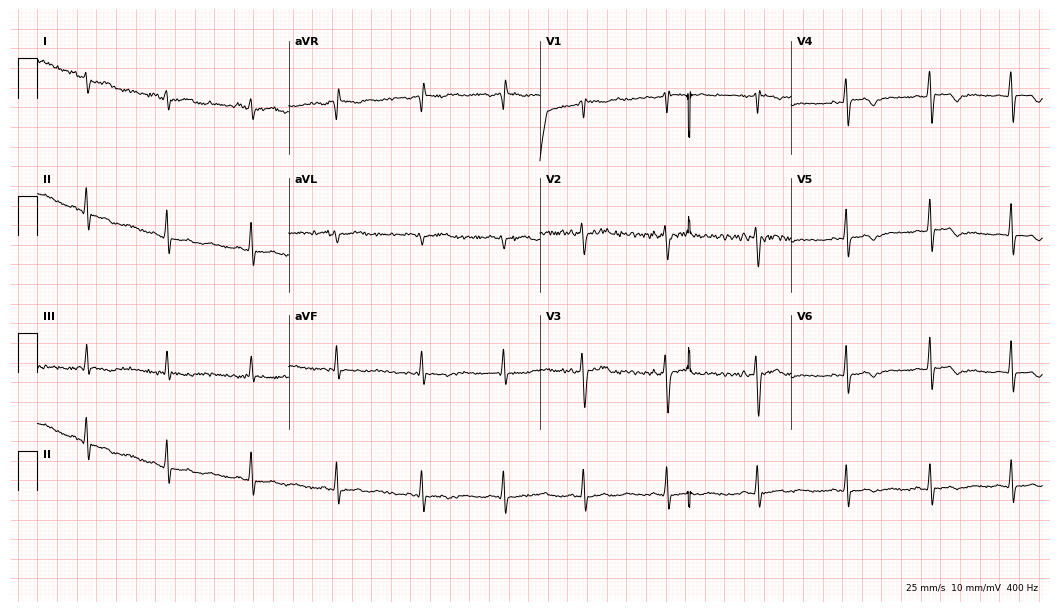
12-lead ECG (10.2-second recording at 400 Hz) from a 25-year-old female. Screened for six findings — first-degree AV block, right bundle branch block, left bundle branch block, sinus bradycardia, atrial fibrillation, sinus tachycardia — none is recorded. Only these six findings were labelled.